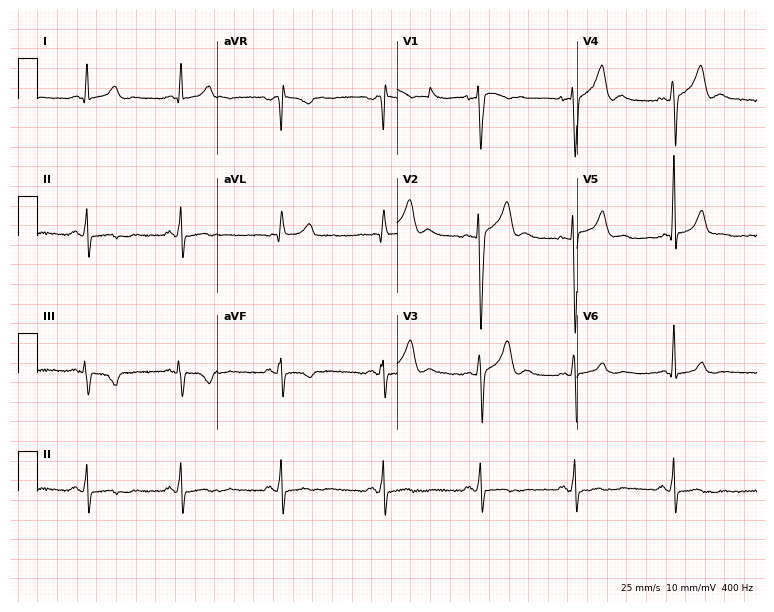
Standard 12-lead ECG recorded from a man, 36 years old. Read as a normal ECG.